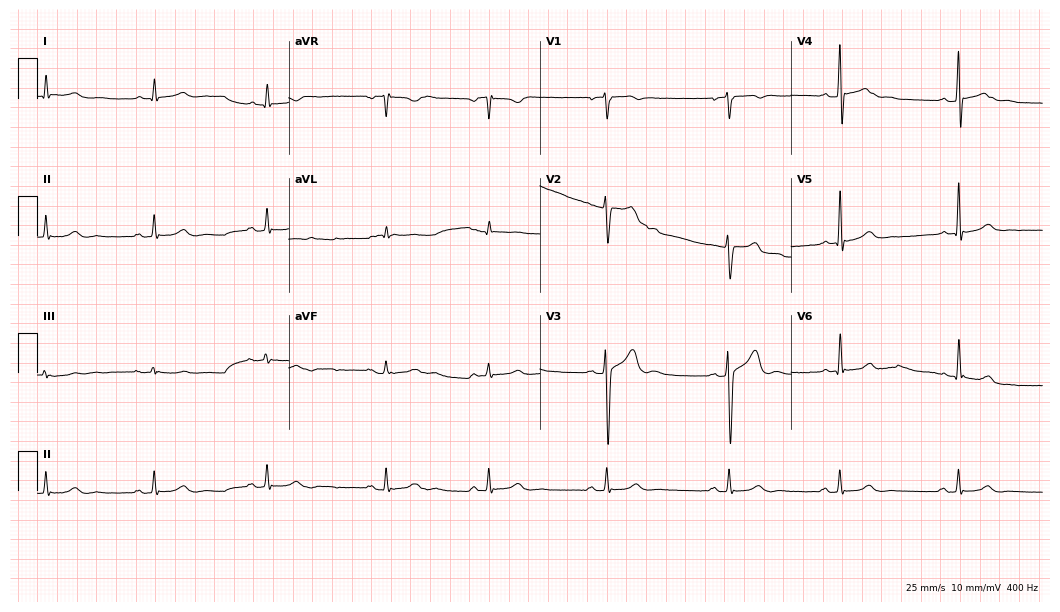
12-lead ECG (10.2-second recording at 400 Hz) from a 22-year-old male. Screened for six findings — first-degree AV block, right bundle branch block, left bundle branch block, sinus bradycardia, atrial fibrillation, sinus tachycardia — none is recorded. Only these six findings were labelled.